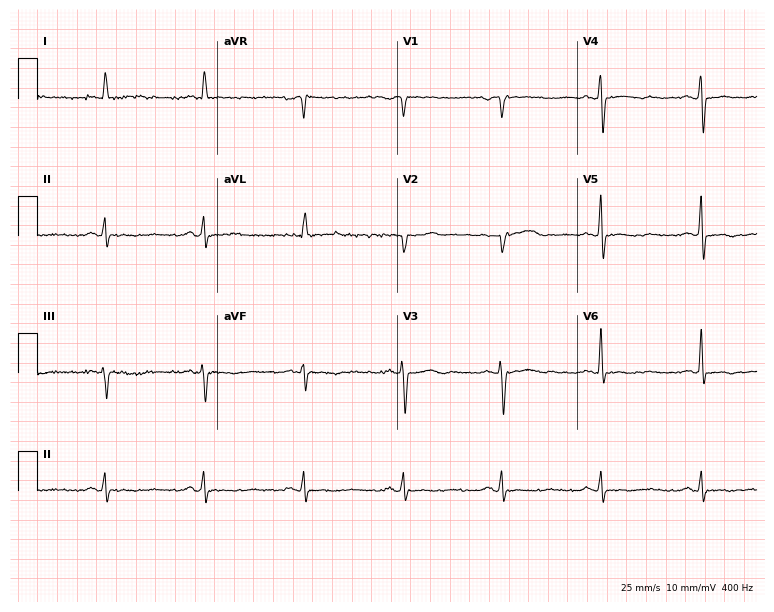
12-lead ECG from a male, 64 years old (7.3-second recording at 400 Hz). No first-degree AV block, right bundle branch block, left bundle branch block, sinus bradycardia, atrial fibrillation or sinus tachycardia recorded for this tracing. Findings outside these six are not listed.